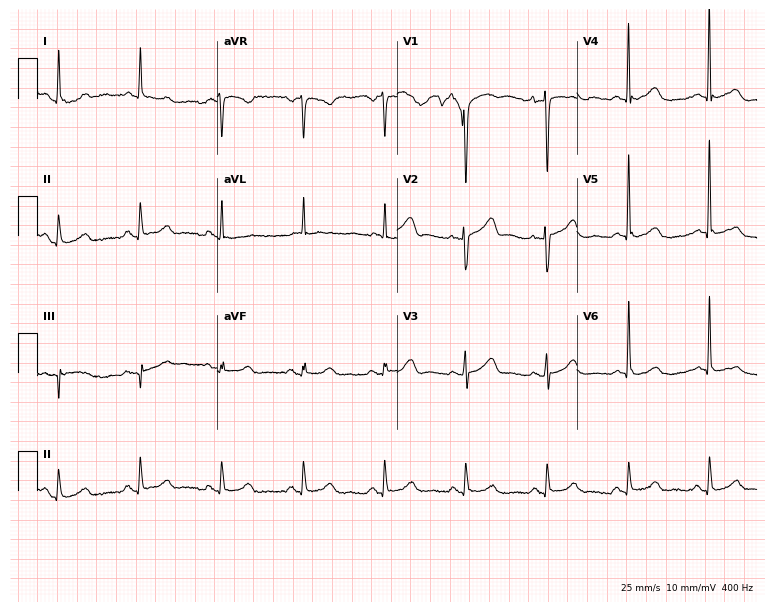
12-lead ECG (7.3-second recording at 400 Hz) from a female, 69 years old. Screened for six findings — first-degree AV block, right bundle branch block, left bundle branch block, sinus bradycardia, atrial fibrillation, sinus tachycardia — none is recorded.